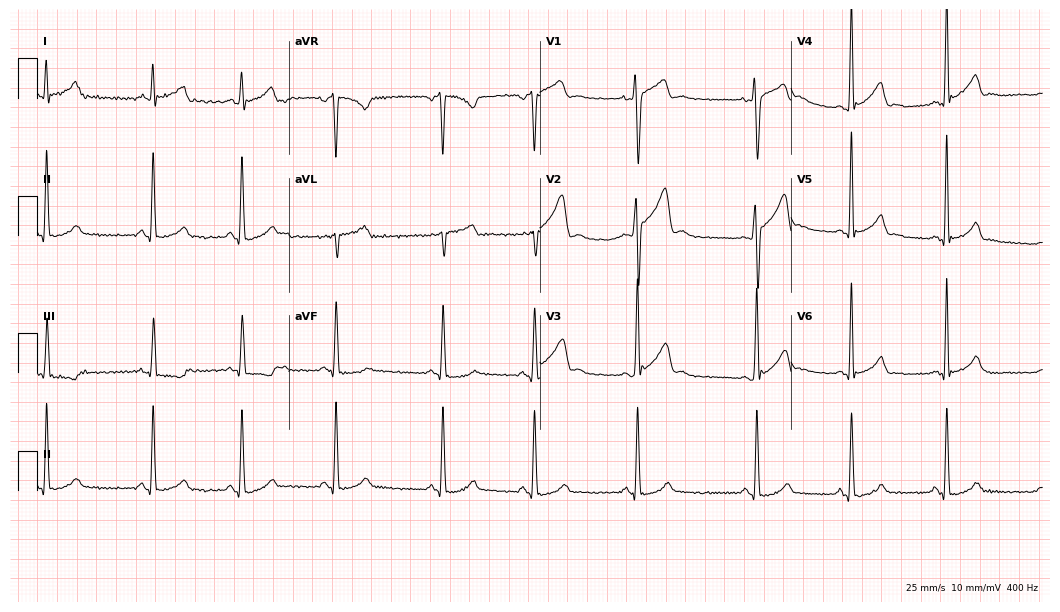
12-lead ECG from a 22-year-old man. No first-degree AV block, right bundle branch block (RBBB), left bundle branch block (LBBB), sinus bradycardia, atrial fibrillation (AF) or sinus tachycardia recorded for this tracing.